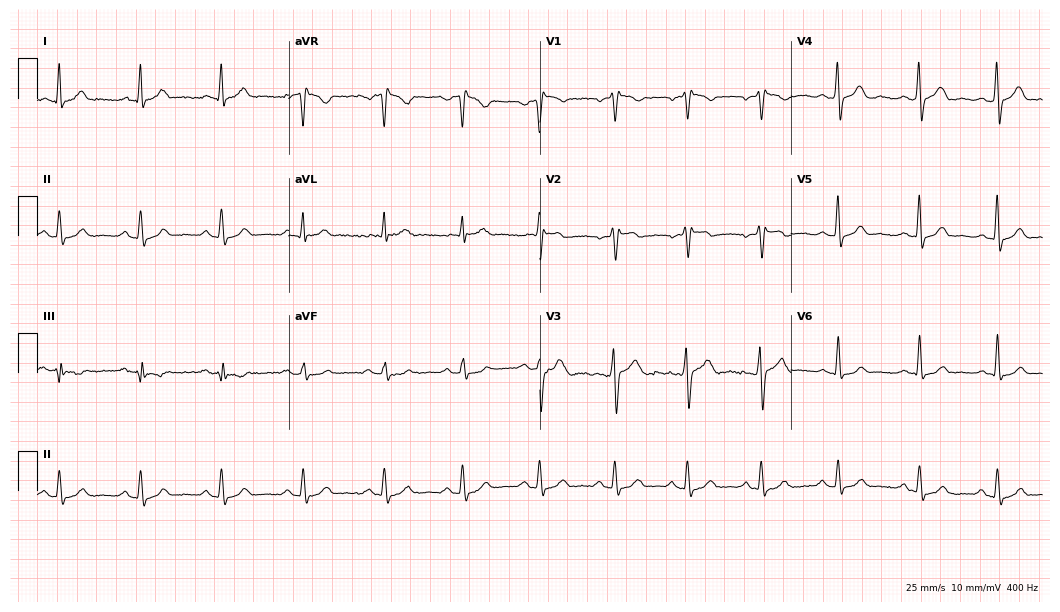
Resting 12-lead electrocardiogram (10.2-second recording at 400 Hz). Patient: a male, 34 years old. None of these six findings is recorded: first-degree AV block, right bundle branch block, left bundle branch block, sinus bradycardia, atrial fibrillation, sinus tachycardia.